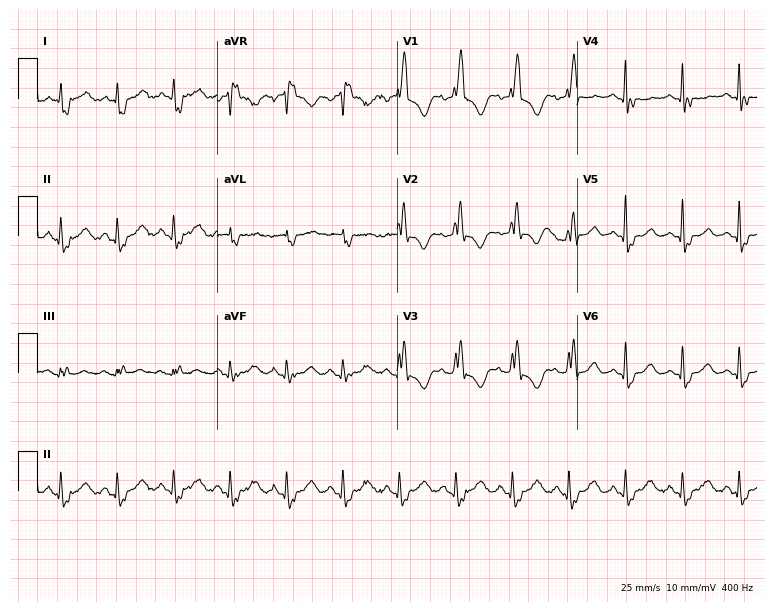
ECG — a 74-year-old woman. Findings include right bundle branch block, sinus tachycardia (a sinus rate of 100 beats per minute or more).